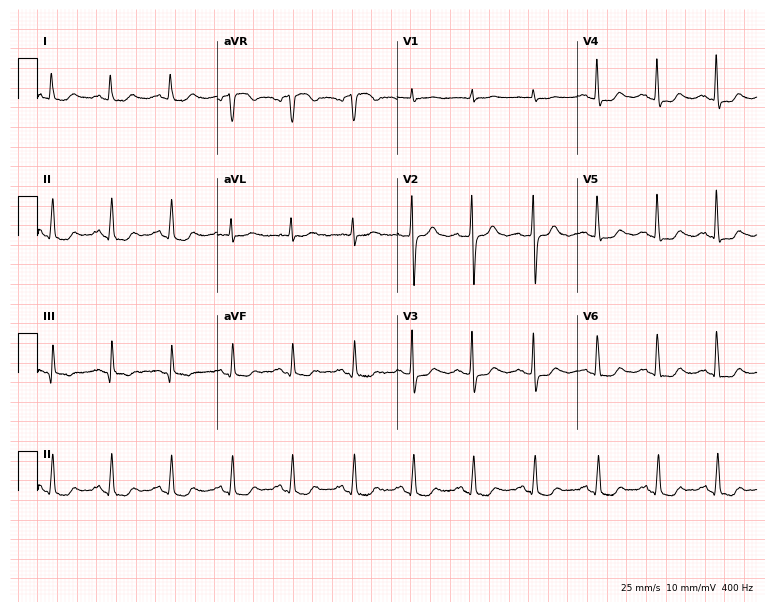
ECG (7.3-second recording at 400 Hz) — a 66-year-old female. Screened for six findings — first-degree AV block, right bundle branch block, left bundle branch block, sinus bradycardia, atrial fibrillation, sinus tachycardia — none is recorded.